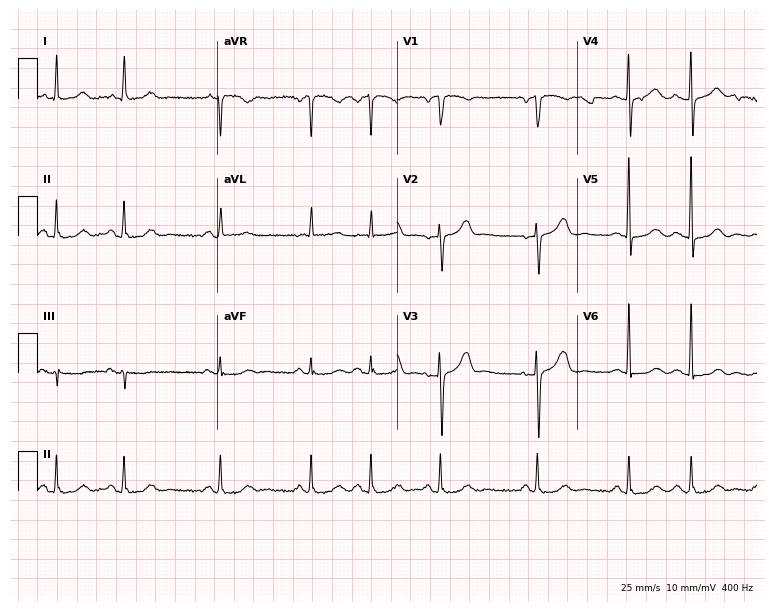
ECG — a 69-year-old female. Labelled as a normal ECG.